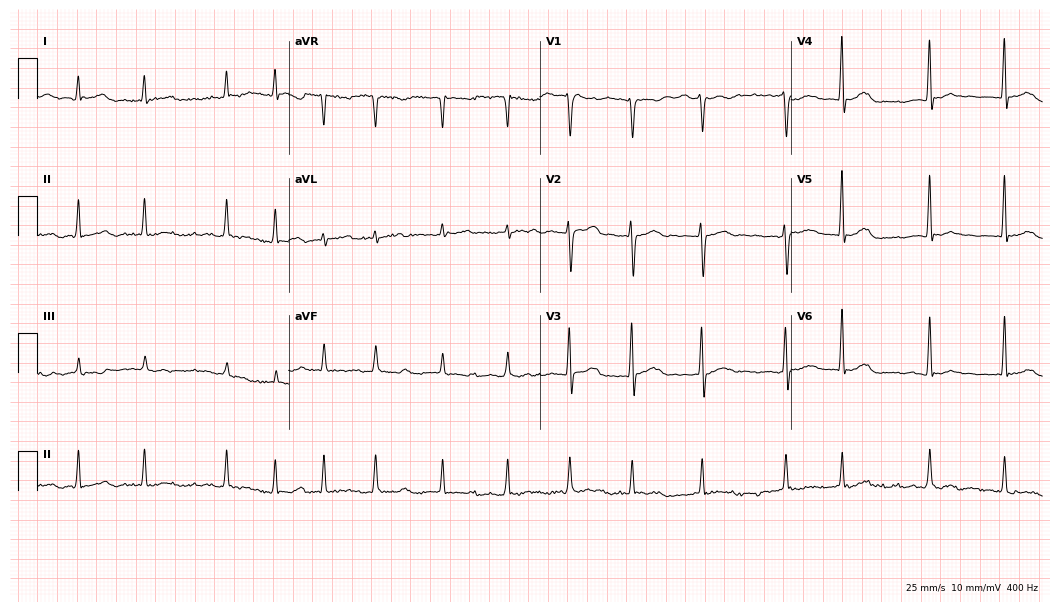
12-lead ECG (10.2-second recording at 400 Hz) from a 71-year-old man. Findings include atrial fibrillation (AF).